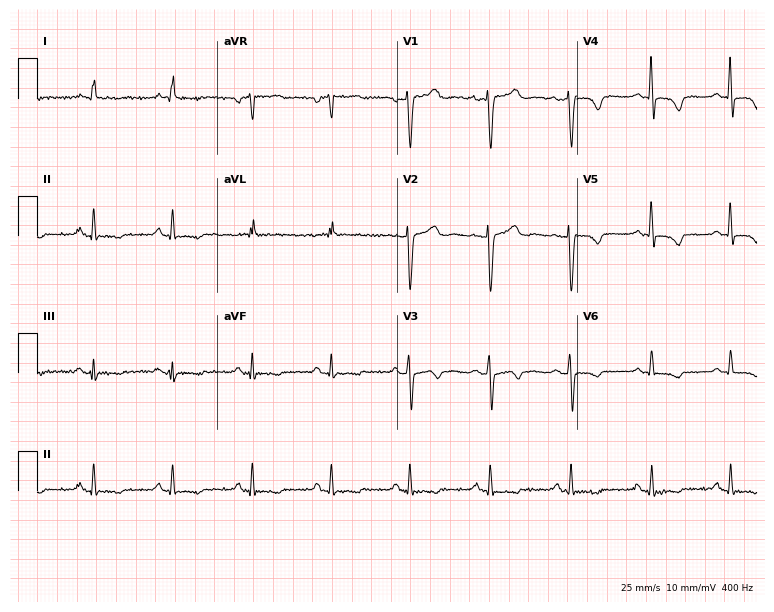
Standard 12-lead ECG recorded from a female, 46 years old. None of these six findings is recorded: first-degree AV block, right bundle branch block (RBBB), left bundle branch block (LBBB), sinus bradycardia, atrial fibrillation (AF), sinus tachycardia.